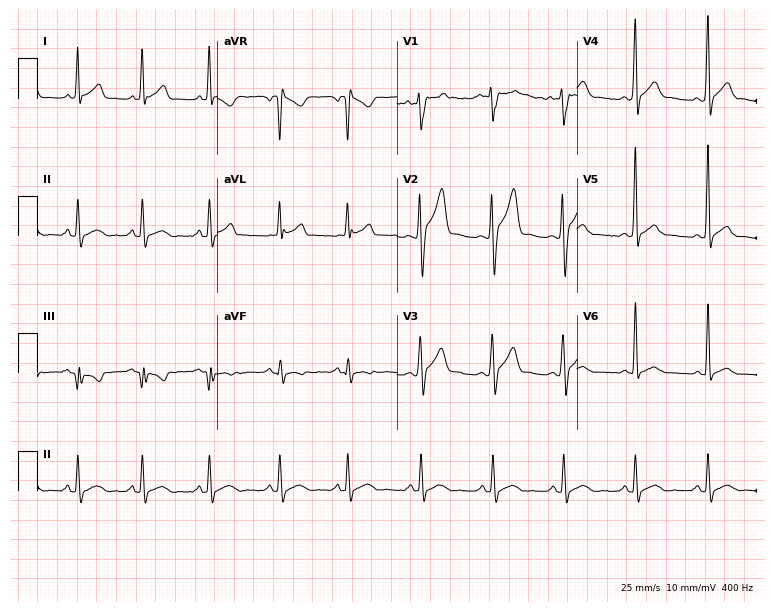
Electrocardiogram (7.3-second recording at 400 Hz), a 23-year-old male. Of the six screened findings (first-degree AV block, right bundle branch block, left bundle branch block, sinus bradycardia, atrial fibrillation, sinus tachycardia), none is recorded. Findings outside these six are not listed.